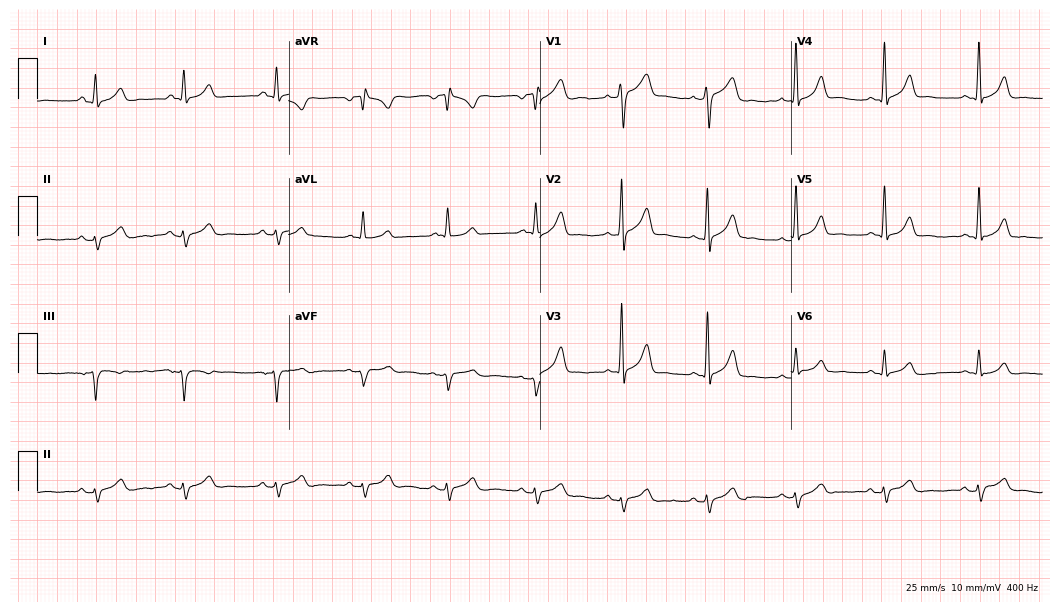
12-lead ECG from a 24-year-old female patient (10.2-second recording at 400 Hz). No first-degree AV block, right bundle branch block (RBBB), left bundle branch block (LBBB), sinus bradycardia, atrial fibrillation (AF) or sinus tachycardia recorded for this tracing. Only these six findings were labelled.